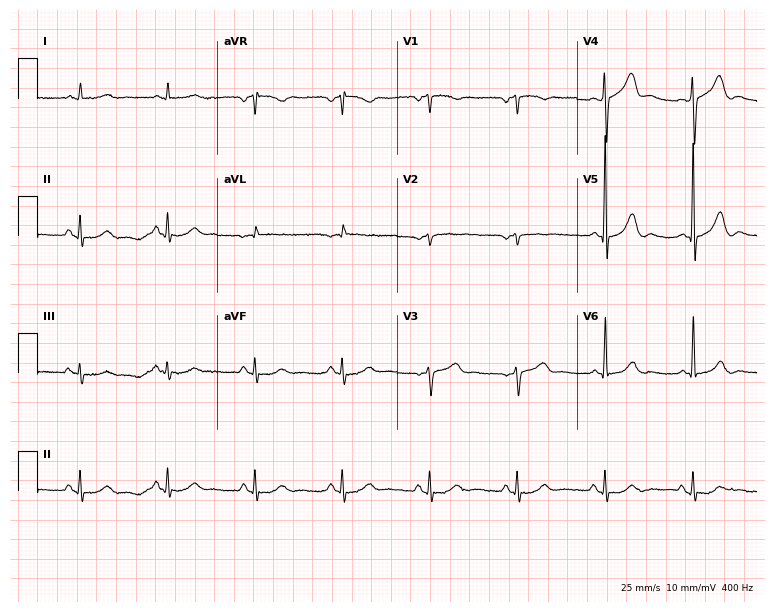
12-lead ECG (7.3-second recording at 400 Hz) from a 74-year-old male. Screened for six findings — first-degree AV block, right bundle branch block (RBBB), left bundle branch block (LBBB), sinus bradycardia, atrial fibrillation (AF), sinus tachycardia — none is recorded.